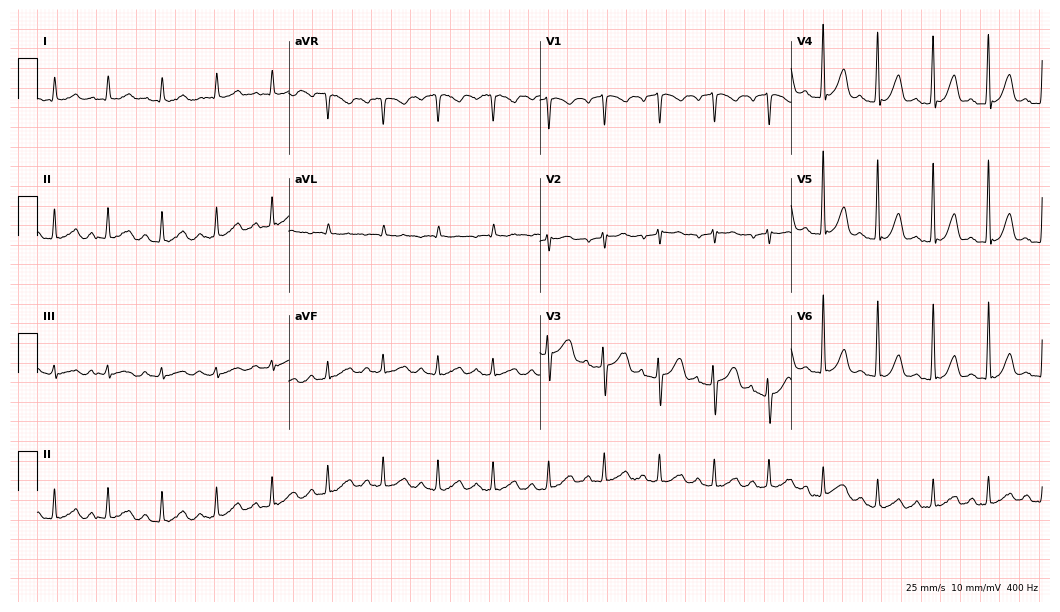
ECG (10.2-second recording at 400 Hz) — a female patient, 52 years old. Findings include sinus tachycardia (a sinus rate of 100 beats per minute or more).